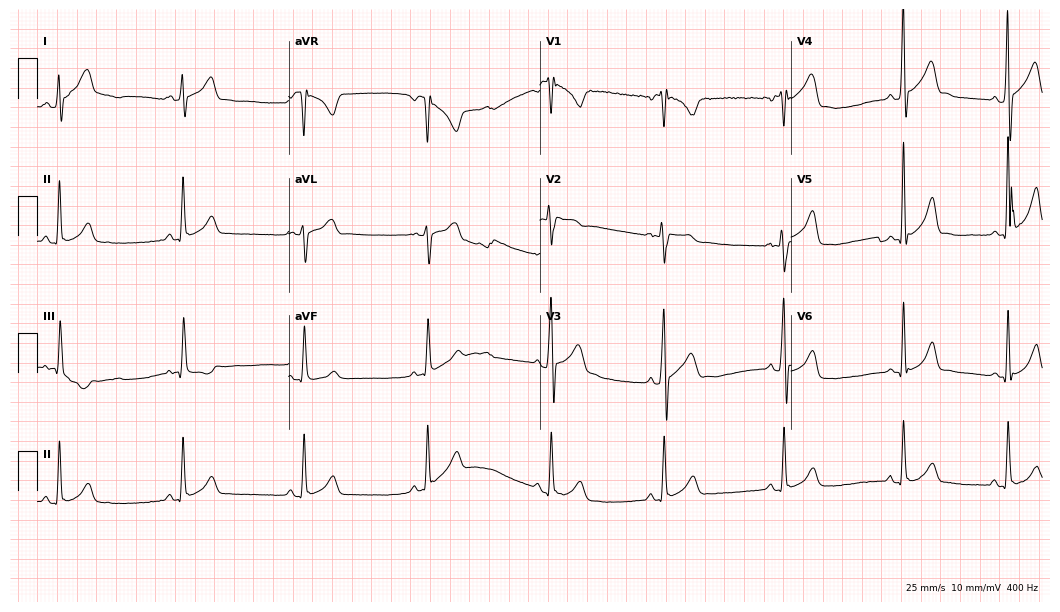
12-lead ECG from a man, 17 years old. Findings include sinus bradycardia (a sinus rate of 50 beats per minute or less).